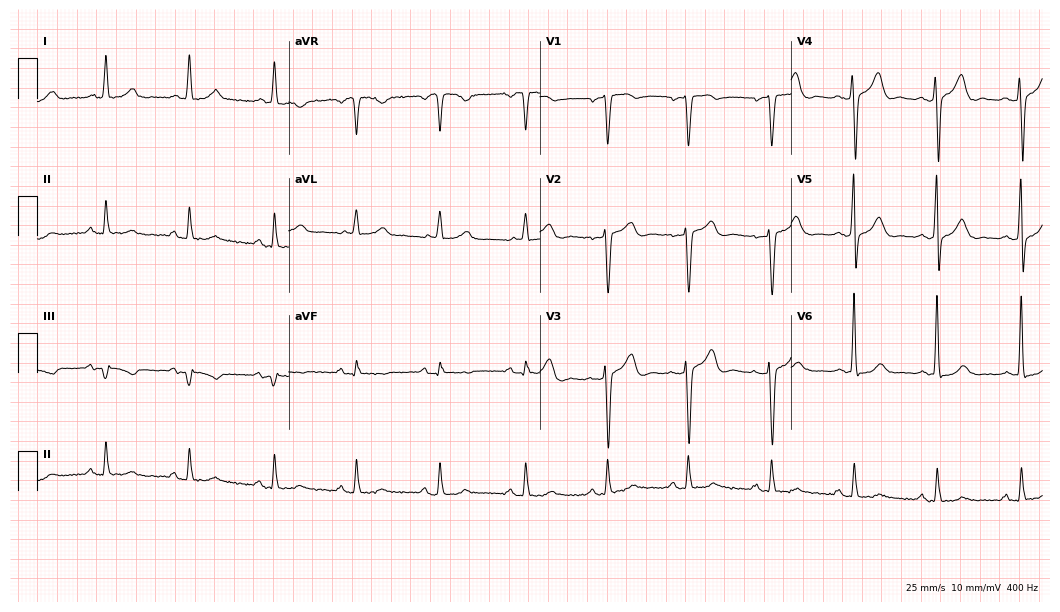
Standard 12-lead ECG recorded from a woman, 61 years old. None of these six findings is recorded: first-degree AV block, right bundle branch block (RBBB), left bundle branch block (LBBB), sinus bradycardia, atrial fibrillation (AF), sinus tachycardia.